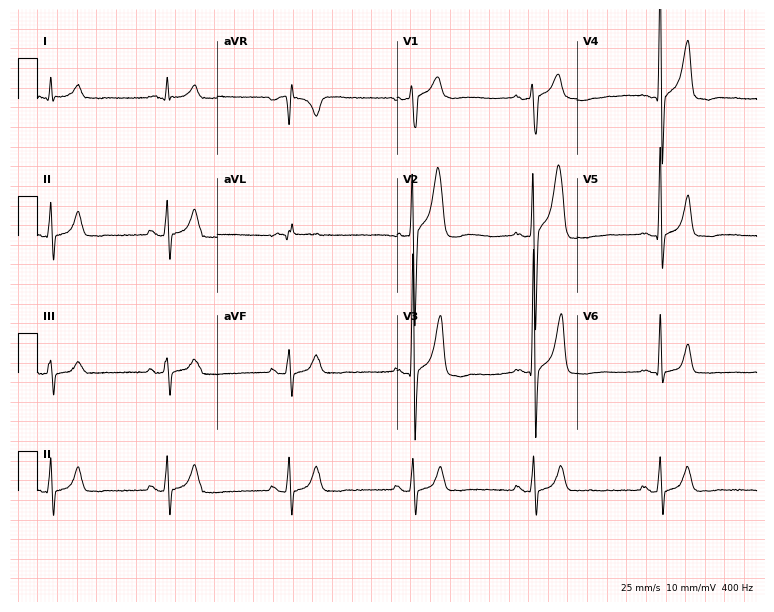
Resting 12-lead electrocardiogram (7.3-second recording at 400 Hz). Patient: a man, 51 years old. None of these six findings is recorded: first-degree AV block, right bundle branch block (RBBB), left bundle branch block (LBBB), sinus bradycardia, atrial fibrillation (AF), sinus tachycardia.